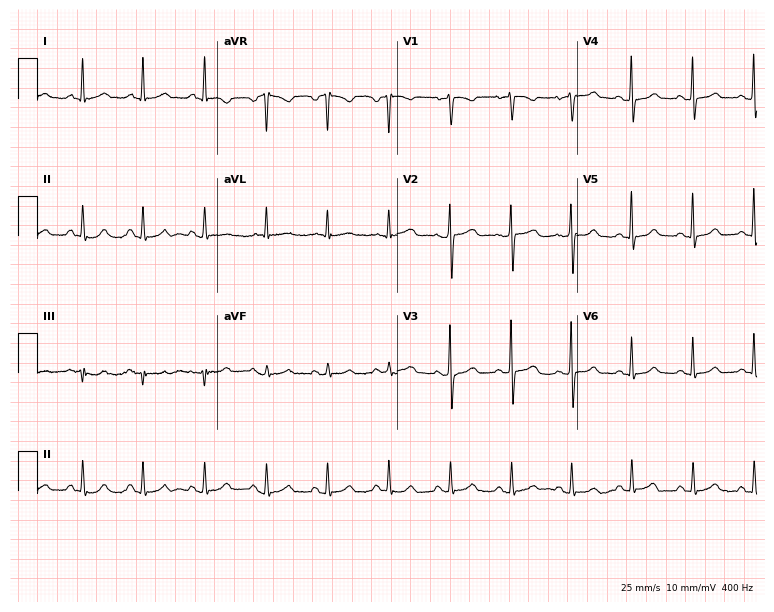
ECG (7.3-second recording at 400 Hz) — a 74-year-old female. Screened for six findings — first-degree AV block, right bundle branch block, left bundle branch block, sinus bradycardia, atrial fibrillation, sinus tachycardia — none is recorded. Only these six findings were labelled.